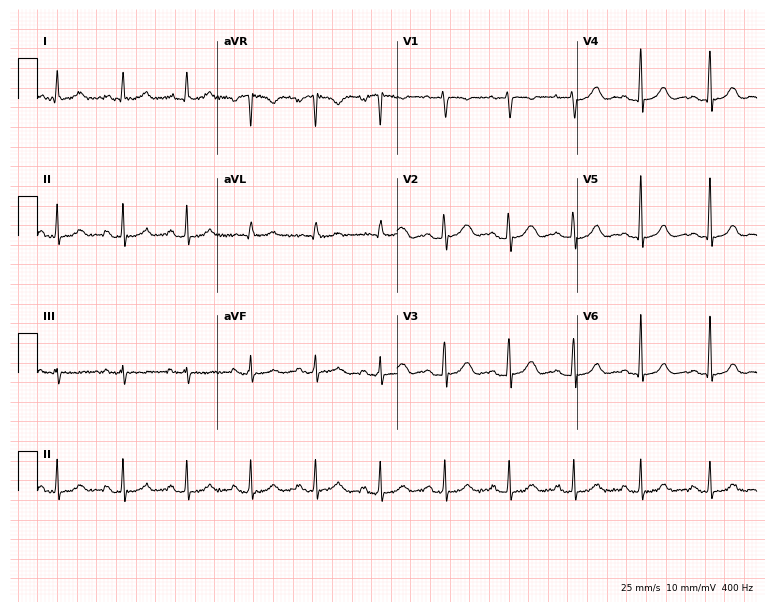
Resting 12-lead electrocardiogram (7.3-second recording at 400 Hz). Patient: a female, 56 years old. Read as a normal ECG.